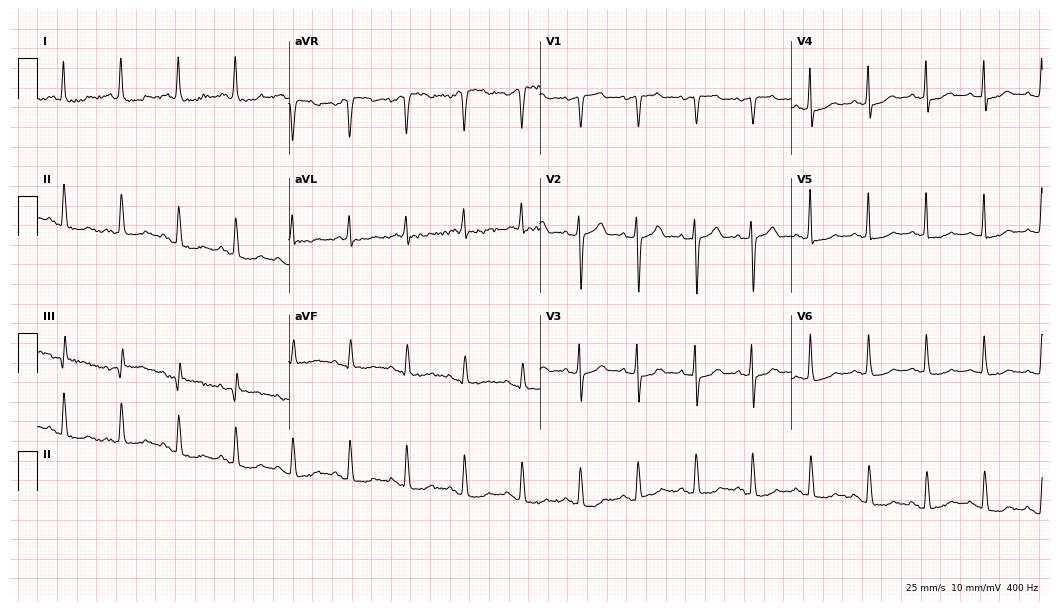
Resting 12-lead electrocardiogram (10.2-second recording at 400 Hz). Patient: a 79-year-old female. None of these six findings is recorded: first-degree AV block, right bundle branch block, left bundle branch block, sinus bradycardia, atrial fibrillation, sinus tachycardia.